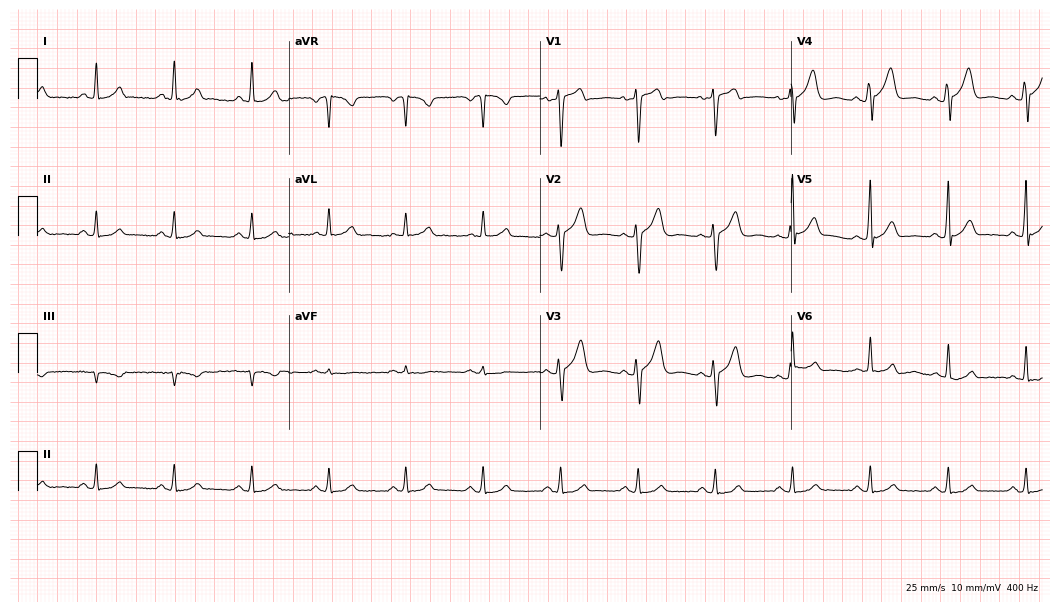
Electrocardiogram, a 46-year-old male patient. Overall reading on record: normal ECG.